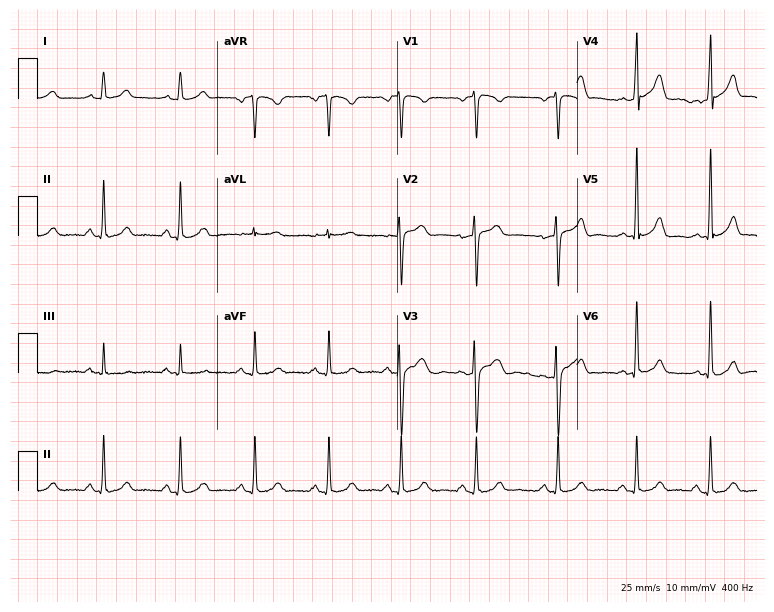
Electrocardiogram (7.3-second recording at 400 Hz), a 34-year-old female. Of the six screened findings (first-degree AV block, right bundle branch block (RBBB), left bundle branch block (LBBB), sinus bradycardia, atrial fibrillation (AF), sinus tachycardia), none is recorded.